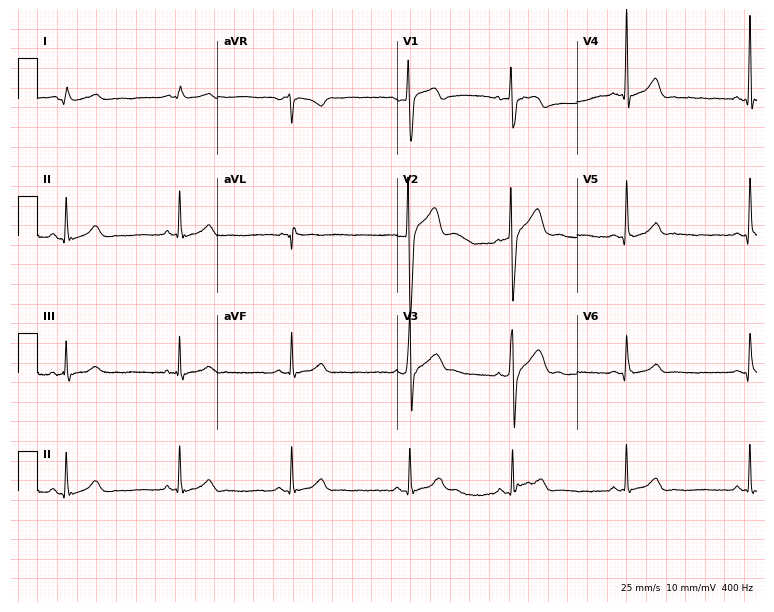
ECG — a male patient, 23 years old. Screened for six findings — first-degree AV block, right bundle branch block (RBBB), left bundle branch block (LBBB), sinus bradycardia, atrial fibrillation (AF), sinus tachycardia — none is recorded. Findings outside these six are not listed.